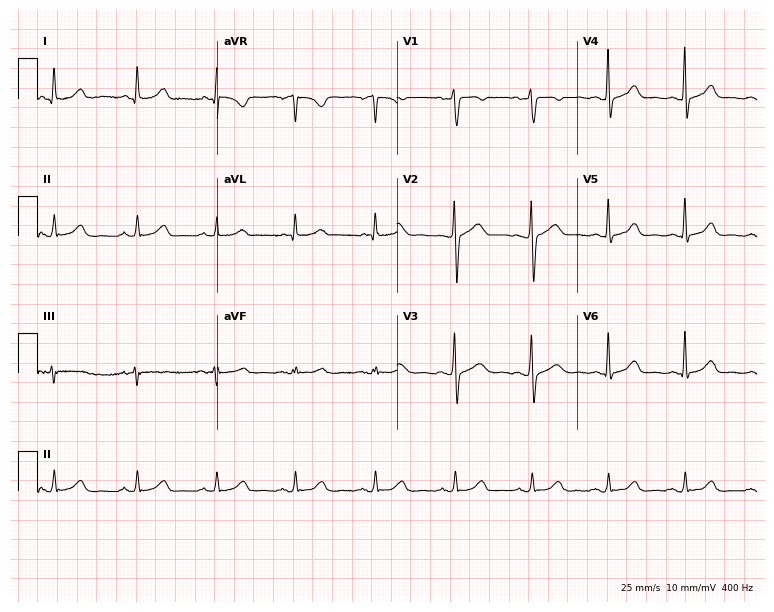
Resting 12-lead electrocardiogram (7.3-second recording at 400 Hz). Patient: a 46-year-old female. Read as a normal ECG.